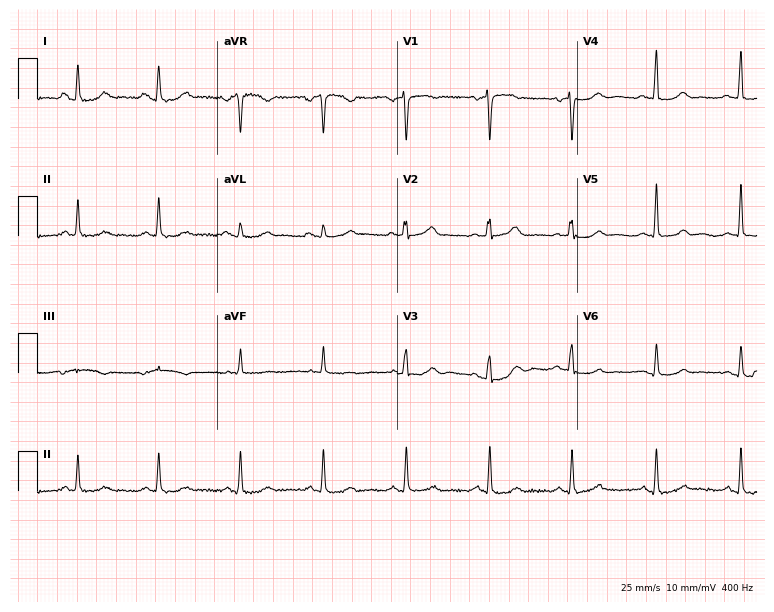
12-lead ECG from a female, 62 years old (7.3-second recording at 400 Hz). Recorded interpretation: within normal limits.